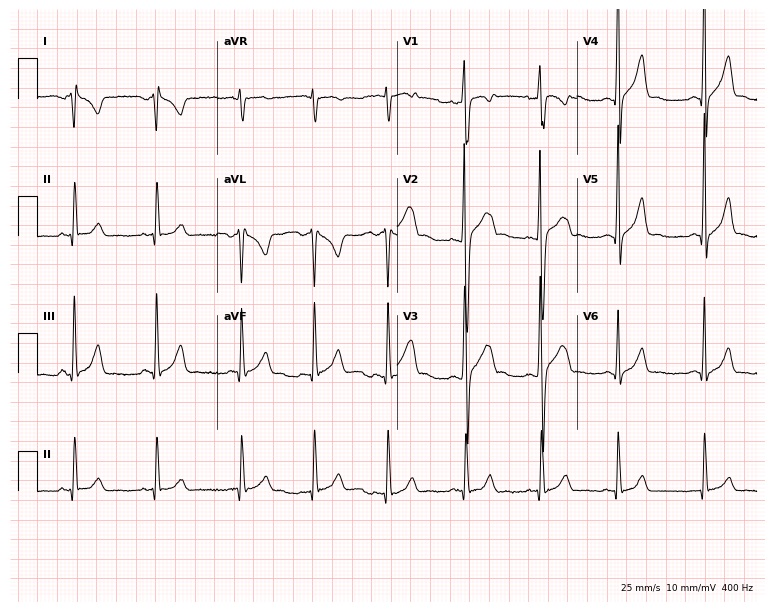
ECG — a 17-year-old male patient. Labelled as a normal ECG.